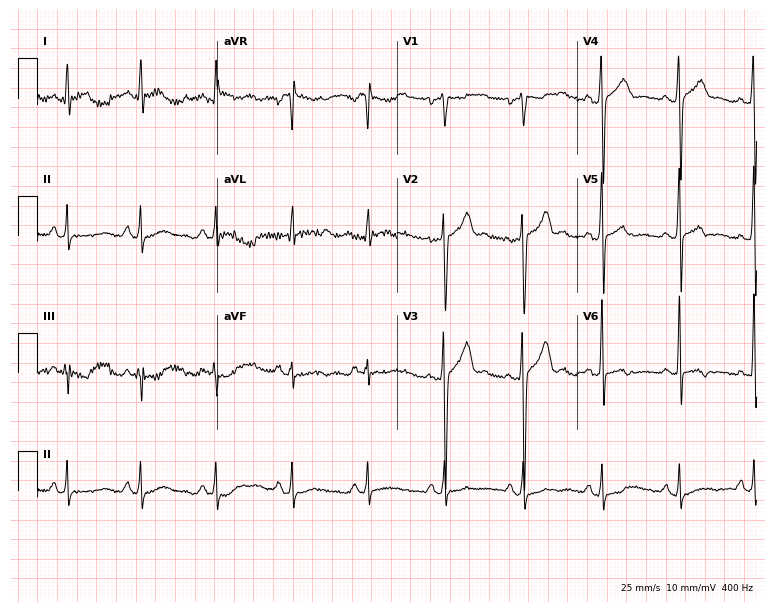
Electrocardiogram, a 25-year-old man. Of the six screened findings (first-degree AV block, right bundle branch block (RBBB), left bundle branch block (LBBB), sinus bradycardia, atrial fibrillation (AF), sinus tachycardia), none is recorded. Other findings, if any, are not listed.